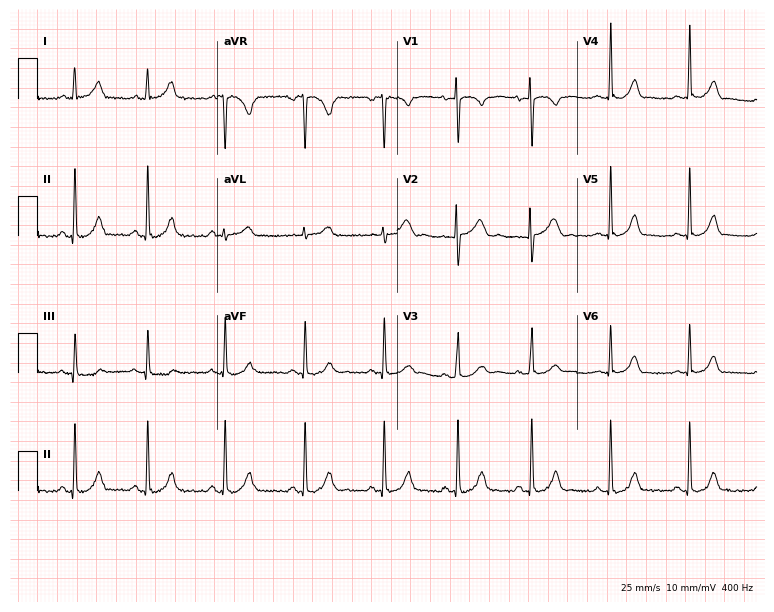
12-lead ECG from a female, 20 years old. No first-degree AV block, right bundle branch block, left bundle branch block, sinus bradycardia, atrial fibrillation or sinus tachycardia recorded for this tracing.